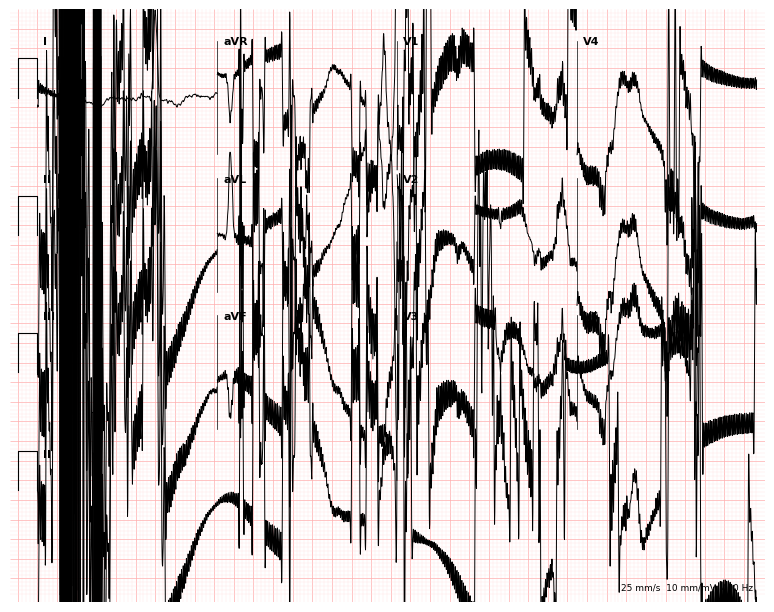
Resting 12-lead electrocardiogram. Patient: an 86-year-old female. None of these six findings is recorded: first-degree AV block, right bundle branch block, left bundle branch block, sinus bradycardia, atrial fibrillation, sinus tachycardia. Findings outside these six are not listed.